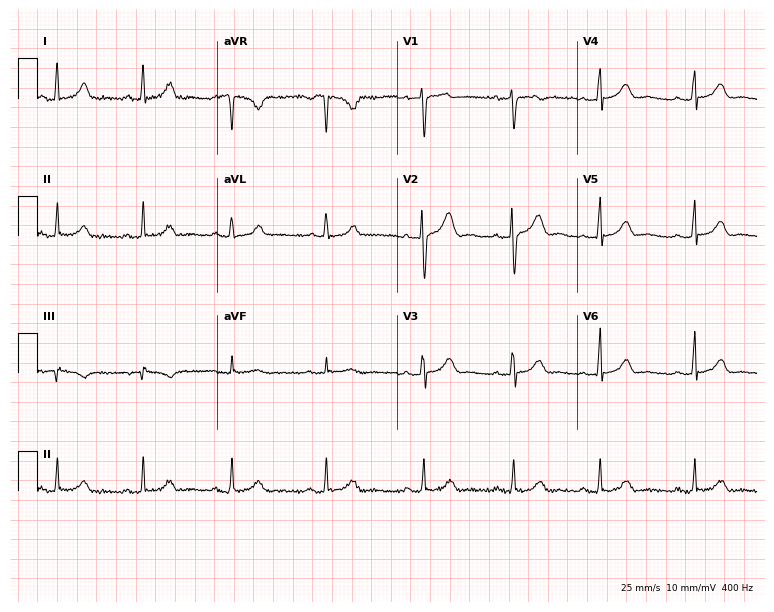
12-lead ECG from a 29-year-old female (7.3-second recording at 400 Hz). Recorded interpretation: within normal limits.